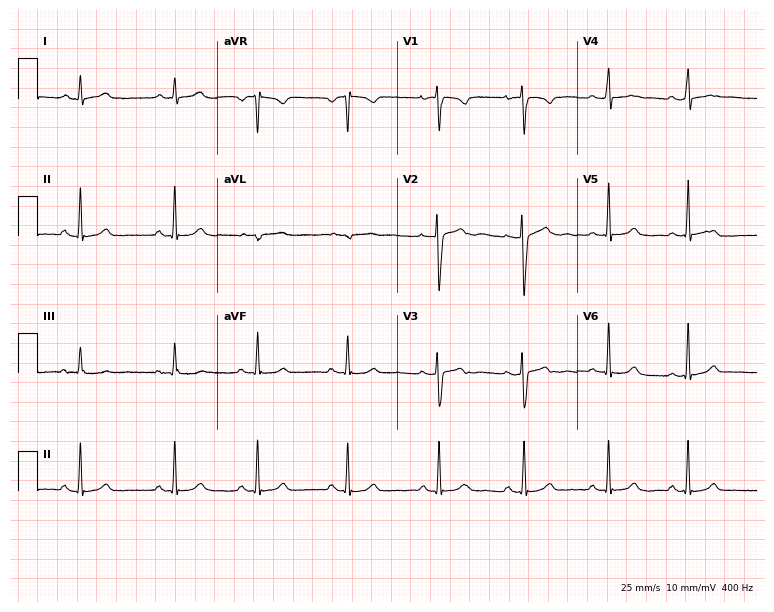
12-lead ECG from a female patient, 27 years old. No first-degree AV block, right bundle branch block (RBBB), left bundle branch block (LBBB), sinus bradycardia, atrial fibrillation (AF) or sinus tachycardia recorded for this tracing. Other findings, if any, are not listed.